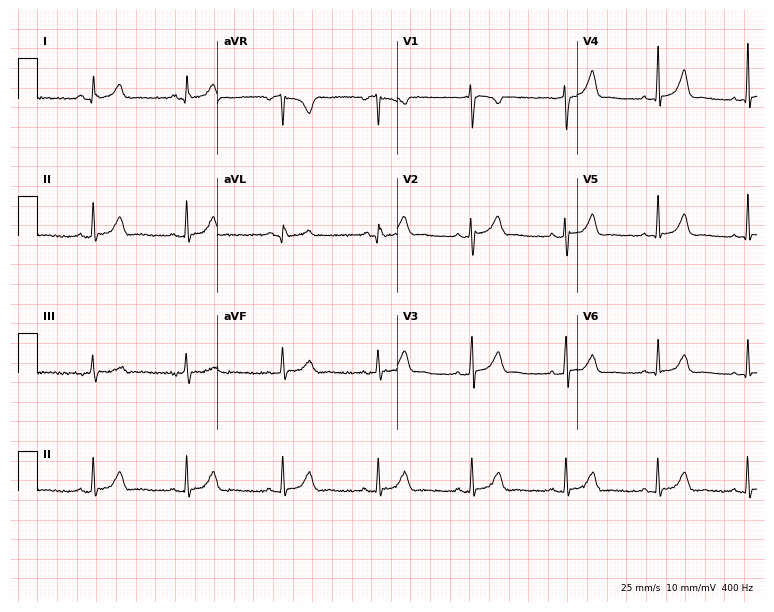
12-lead ECG from a female, 26 years old. Recorded interpretation: within normal limits.